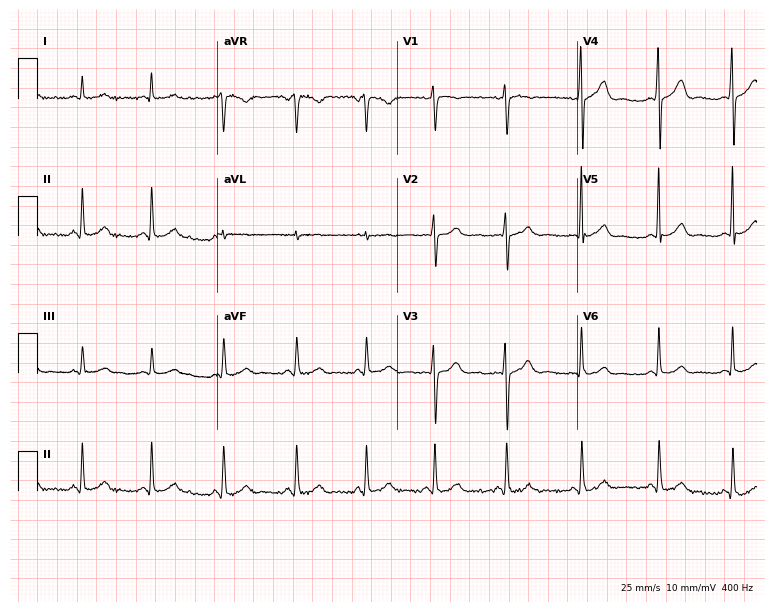
12-lead ECG from a woman, 30 years old. Labelled as a normal ECG.